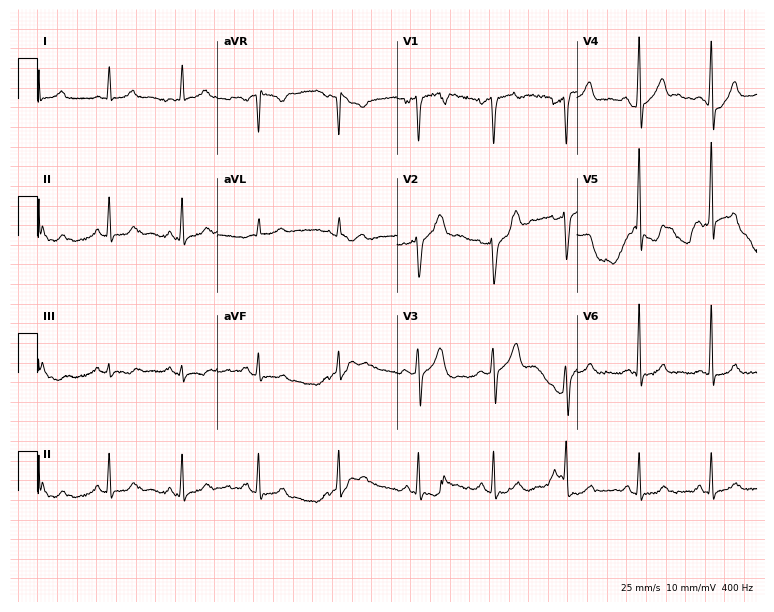
ECG (7.3-second recording at 400 Hz) — a male patient, 51 years old. Screened for six findings — first-degree AV block, right bundle branch block, left bundle branch block, sinus bradycardia, atrial fibrillation, sinus tachycardia — none is recorded. Other findings, if any, are not listed.